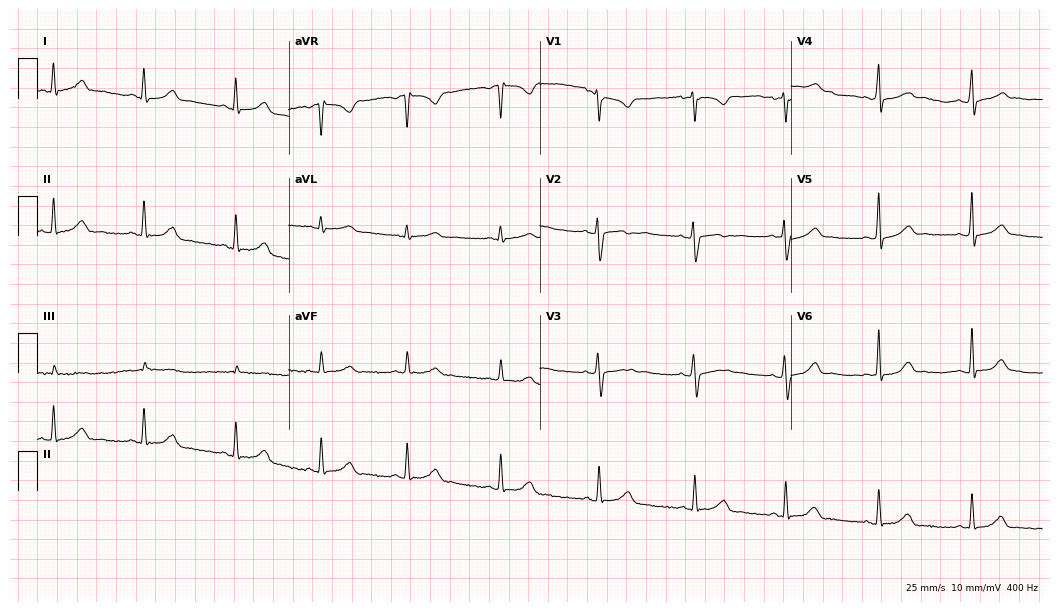
12-lead ECG (10.2-second recording at 400 Hz) from a female patient, 23 years old. Labelled as a normal ECG.